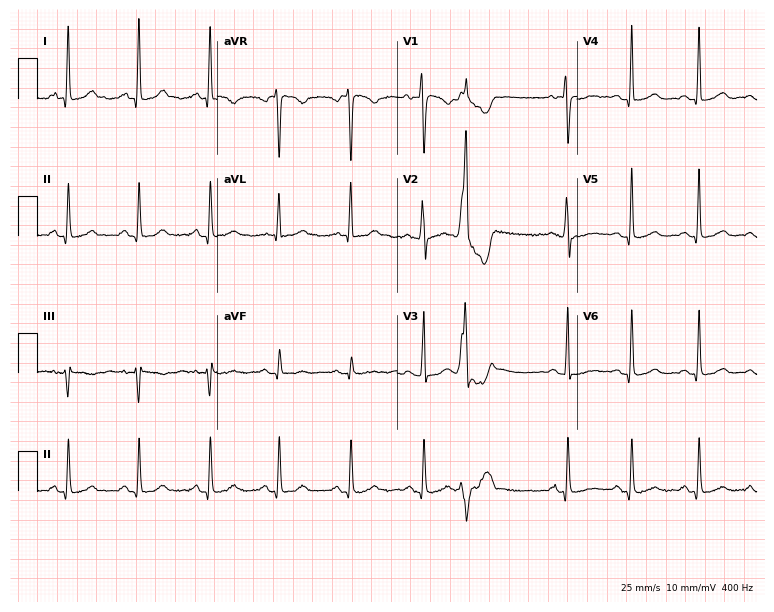
Resting 12-lead electrocardiogram. Patient: a 35-year-old female. None of these six findings is recorded: first-degree AV block, right bundle branch block, left bundle branch block, sinus bradycardia, atrial fibrillation, sinus tachycardia.